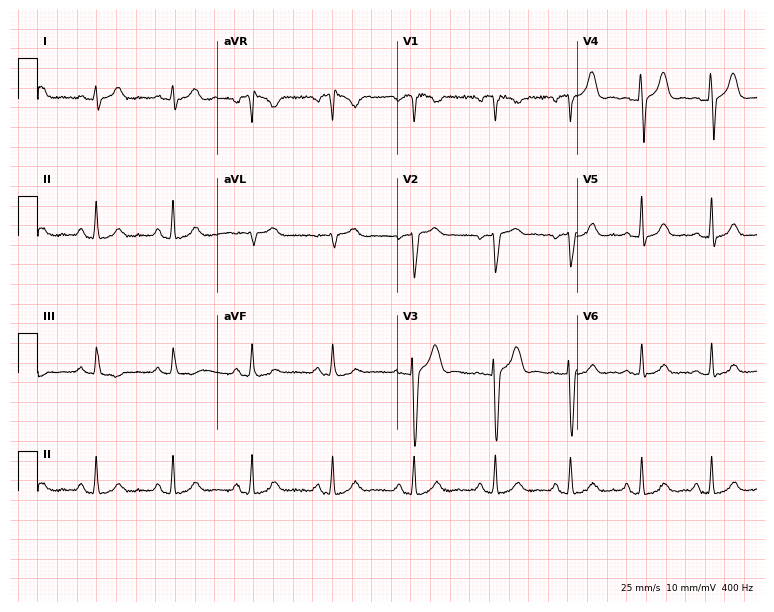
ECG (7.3-second recording at 400 Hz) — a woman, 31 years old. Screened for six findings — first-degree AV block, right bundle branch block, left bundle branch block, sinus bradycardia, atrial fibrillation, sinus tachycardia — none is recorded. Other findings, if any, are not listed.